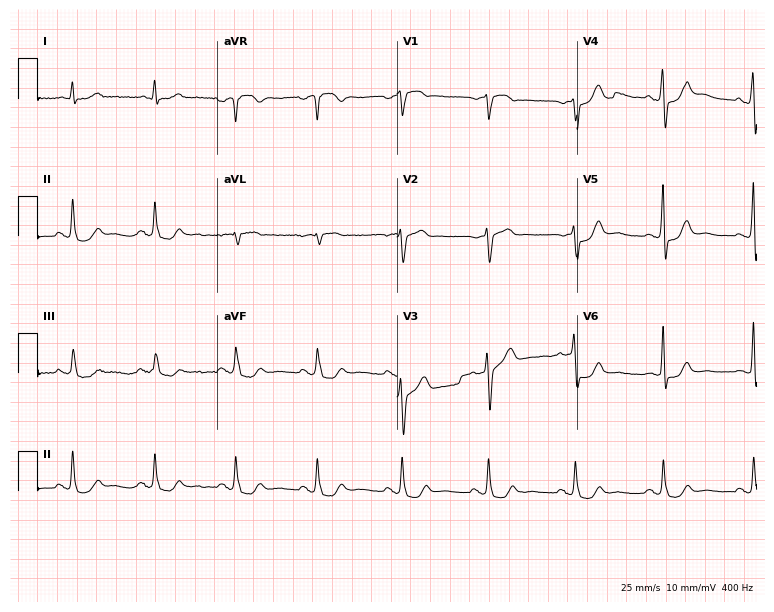
Resting 12-lead electrocardiogram (7.3-second recording at 400 Hz). Patient: a male, 62 years old. None of these six findings is recorded: first-degree AV block, right bundle branch block, left bundle branch block, sinus bradycardia, atrial fibrillation, sinus tachycardia. Findings outside these six are not listed.